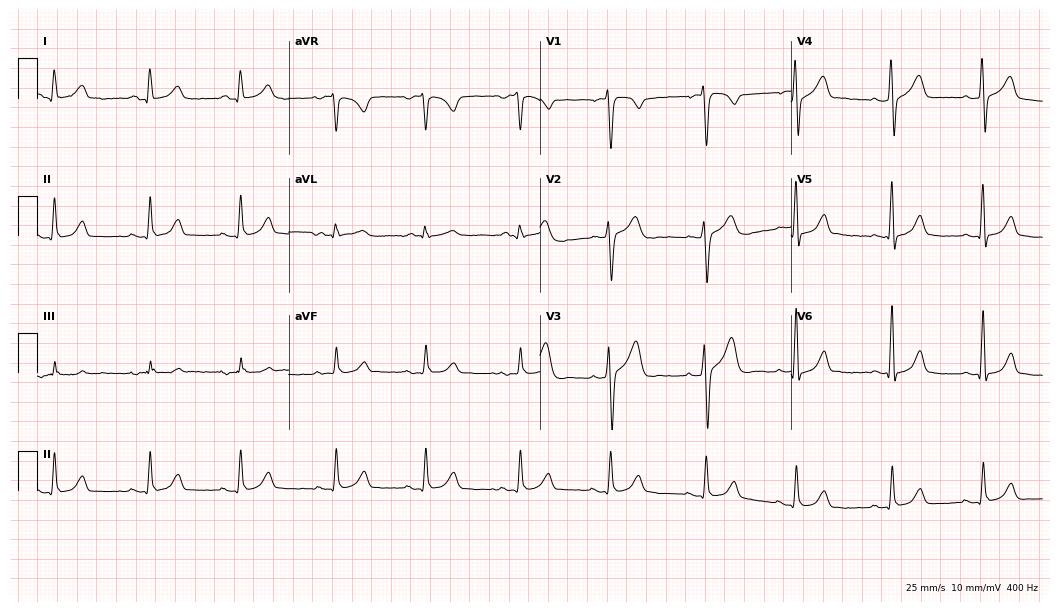
Standard 12-lead ECG recorded from a man, 45 years old (10.2-second recording at 400 Hz). None of these six findings is recorded: first-degree AV block, right bundle branch block, left bundle branch block, sinus bradycardia, atrial fibrillation, sinus tachycardia. Only these six findings were labelled.